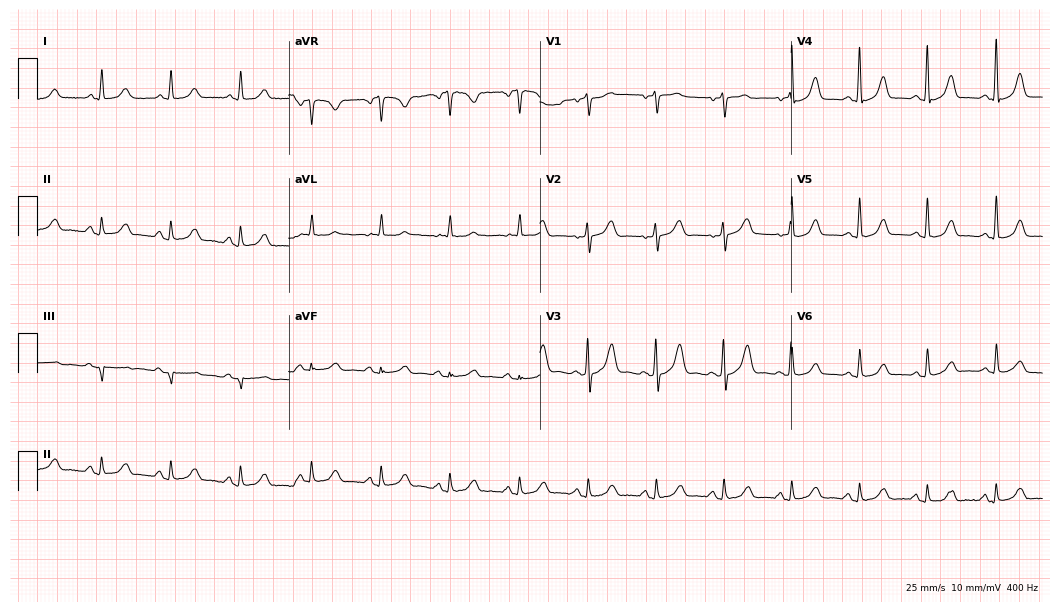
Resting 12-lead electrocardiogram (10.2-second recording at 400 Hz). Patient: a female, 69 years old. Read as a normal ECG.